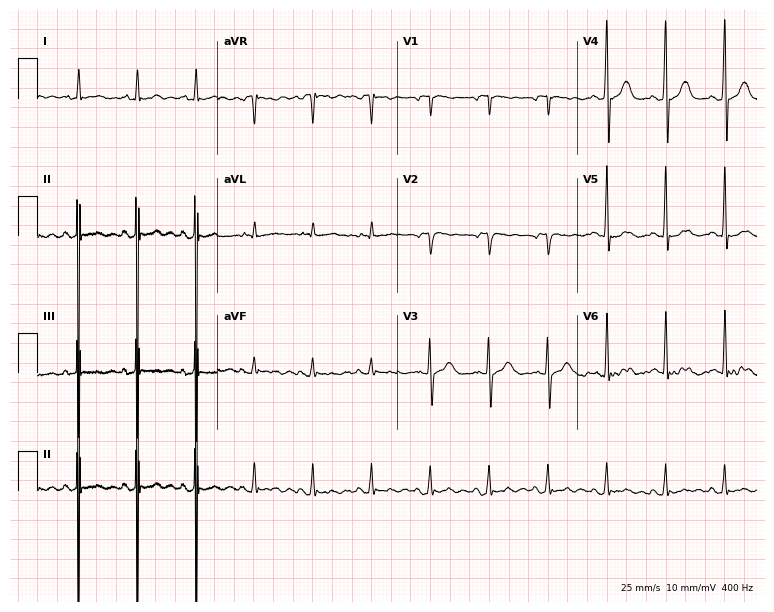
Electrocardiogram (7.3-second recording at 400 Hz), a 42-year-old man. Of the six screened findings (first-degree AV block, right bundle branch block, left bundle branch block, sinus bradycardia, atrial fibrillation, sinus tachycardia), none is recorded. Only these six findings were labelled.